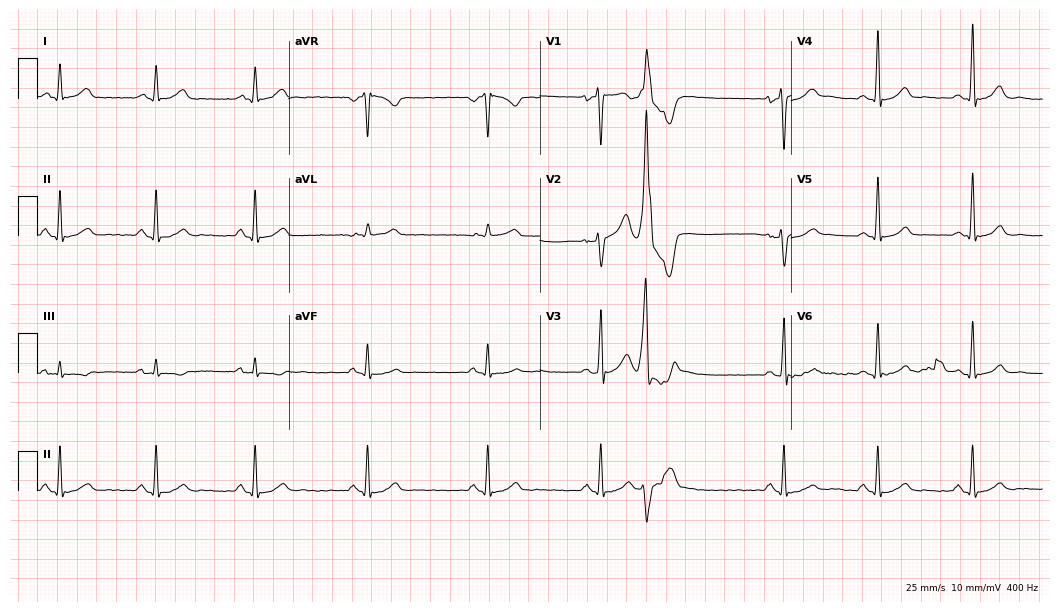
12-lead ECG from a 37-year-old man. Screened for six findings — first-degree AV block, right bundle branch block, left bundle branch block, sinus bradycardia, atrial fibrillation, sinus tachycardia — none is recorded. Only these six findings were labelled.